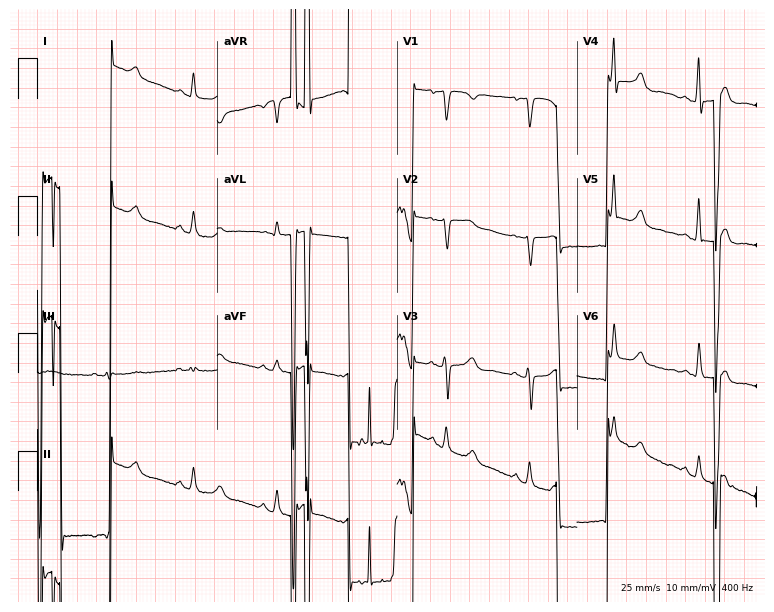
12-lead ECG (7.3-second recording at 400 Hz) from a 60-year-old woman. Screened for six findings — first-degree AV block, right bundle branch block, left bundle branch block, sinus bradycardia, atrial fibrillation, sinus tachycardia — none is recorded.